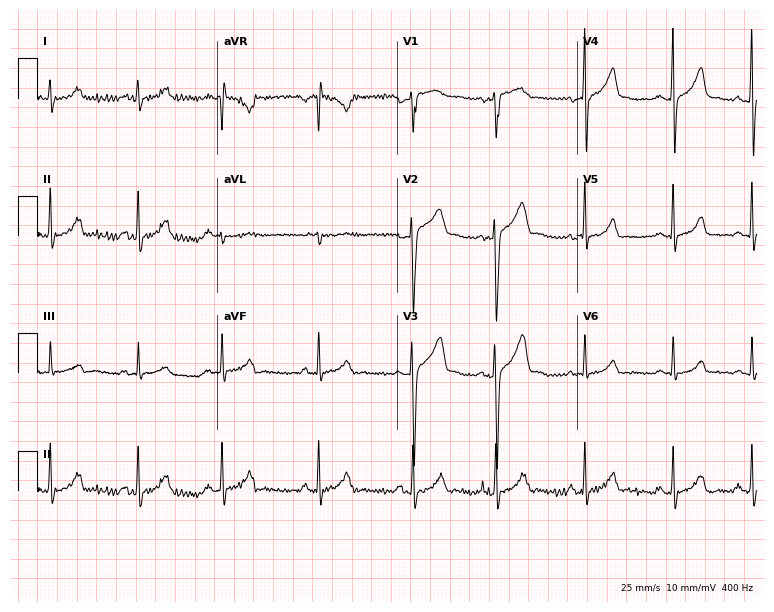
Electrocardiogram, an 18-year-old male. Of the six screened findings (first-degree AV block, right bundle branch block, left bundle branch block, sinus bradycardia, atrial fibrillation, sinus tachycardia), none is recorded. Other findings, if any, are not listed.